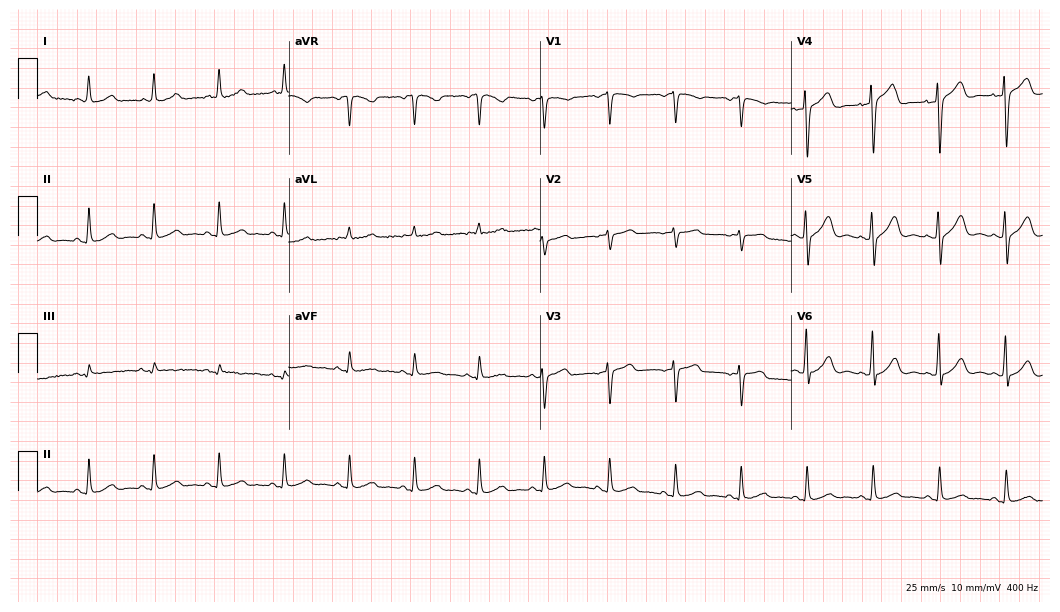
12-lead ECG (10.2-second recording at 400 Hz) from a woman, 76 years old. Labelled as a normal ECG.